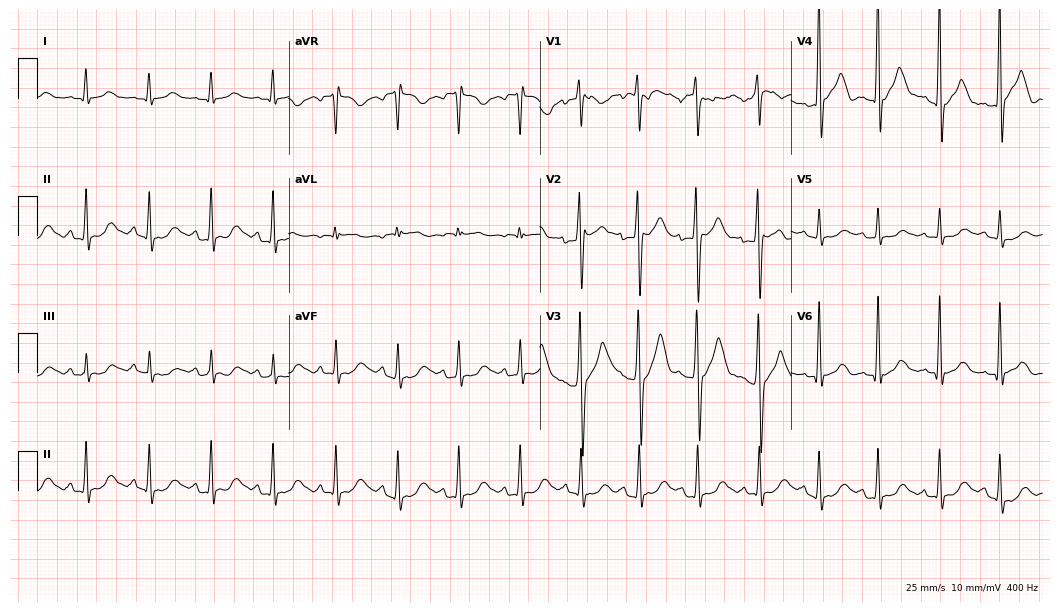
Resting 12-lead electrocardiogram (10.2-second recording at 400 Hz). Patient: a 28-year-old male. Read as a normal ECG.